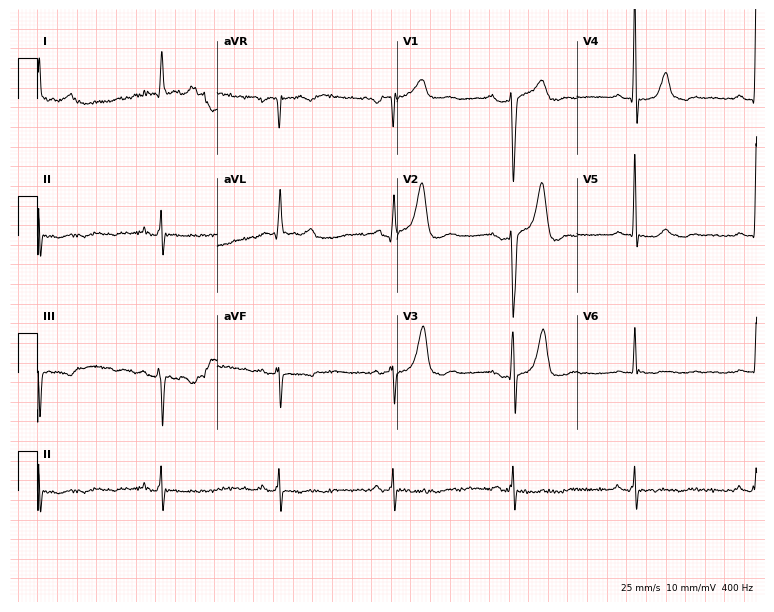
Electrocardiogram (7.3-second recording at 400 Hz), a man, 72 years old. Of the six screened findings (first-degree AV block, right bundle branch block, left bundle branch block, sinus bradycardia, atrial fibrillation, sinus tachycardia), none is recorded. Other findings, if any, are not listed.